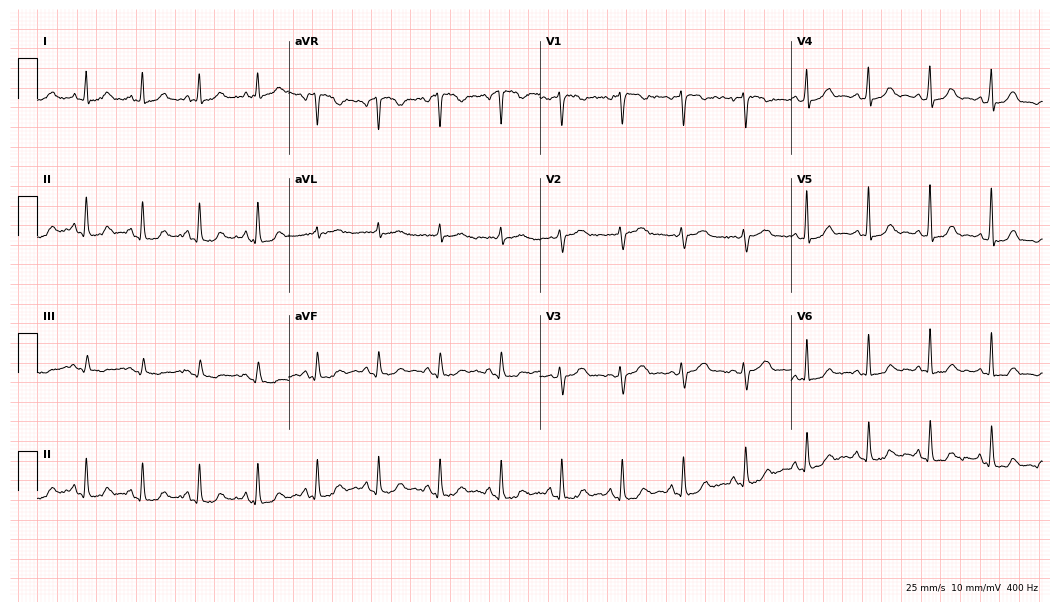
Standard 12-lead ECG recorded from a 64-year-old female patient (10.2-second recording at 400 Hz). Read as a normal ECG.